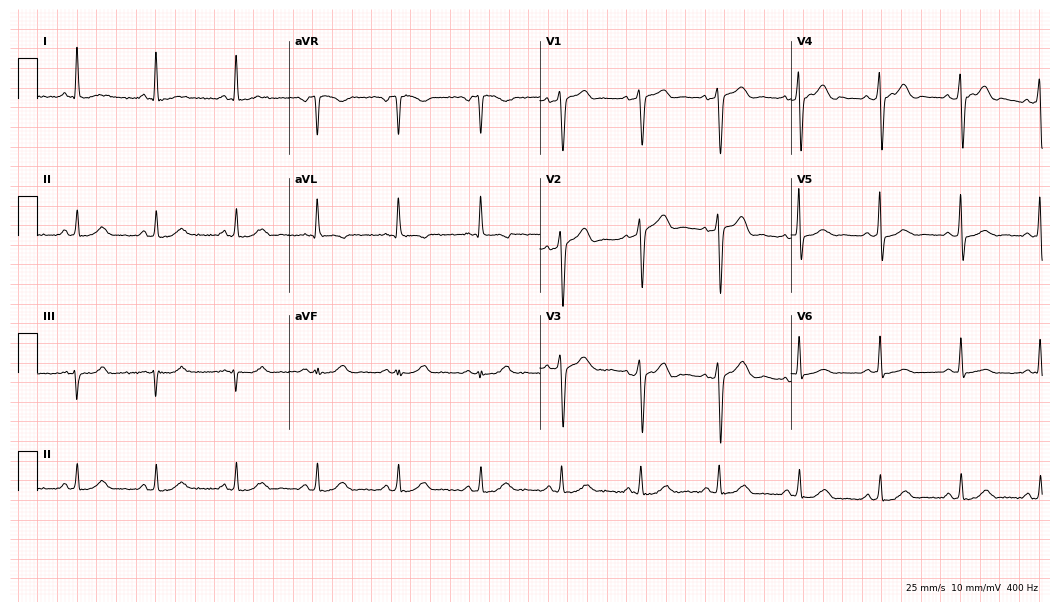
Standard 12-lead ECG recorded from a man, 55 years old (10.2-second recording at 400 Hz). None of these six findings is recorded: first-degree AV block, right bundle branch block, left bundle branch block, sinus bradycardia, atrial fibrillation, sinus tachycardia. Findings outside these six are not listed.